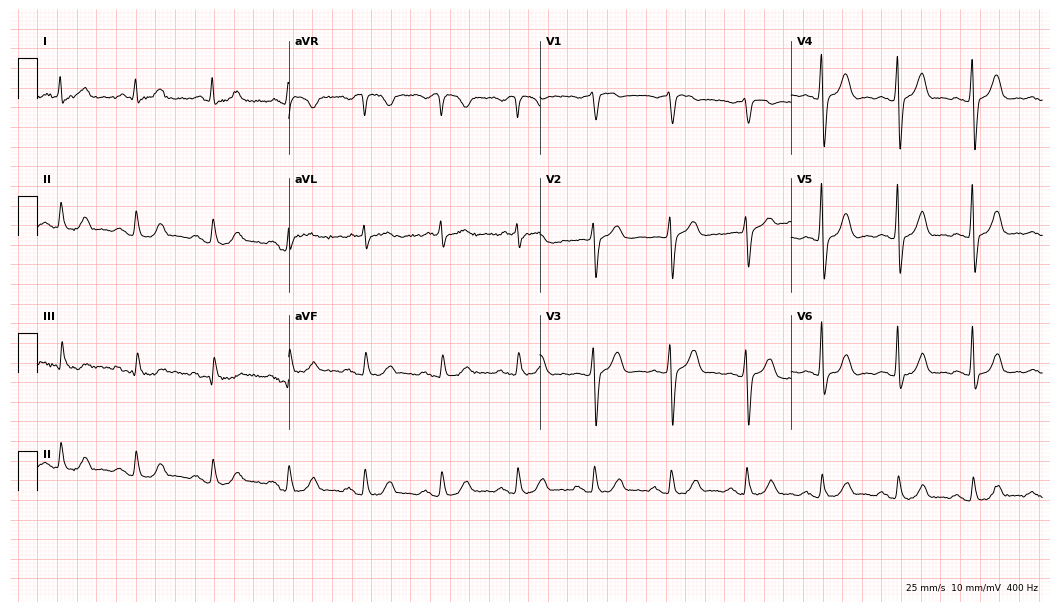
Standard 12-lead ECG recorded from a man, 60 years old. None of these six findings is recorded: first-degree AV block, right bundle branch block, left bundle branch block, sinus bradycardia, atrial fibrillation, sinus tachycardia. Findings outside these six are not listed.